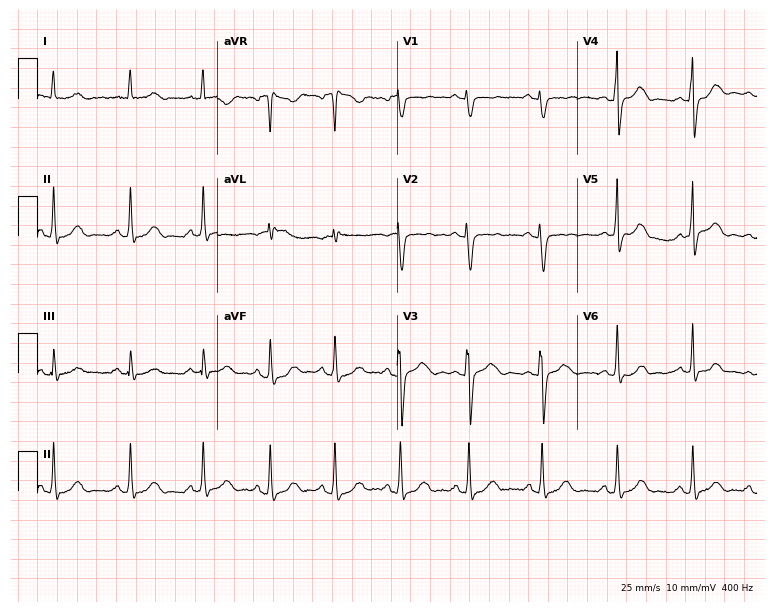
Resting 12-lead electrocardiogram (7.3-second recording at 400 Hz). Patient: a 33-year-old female. None of these six findings is recorded: first-degree AV block, right bundle branch block, left bundle branch block, sinus bradycardia, atrial fibrillation, sinus tachycardia.